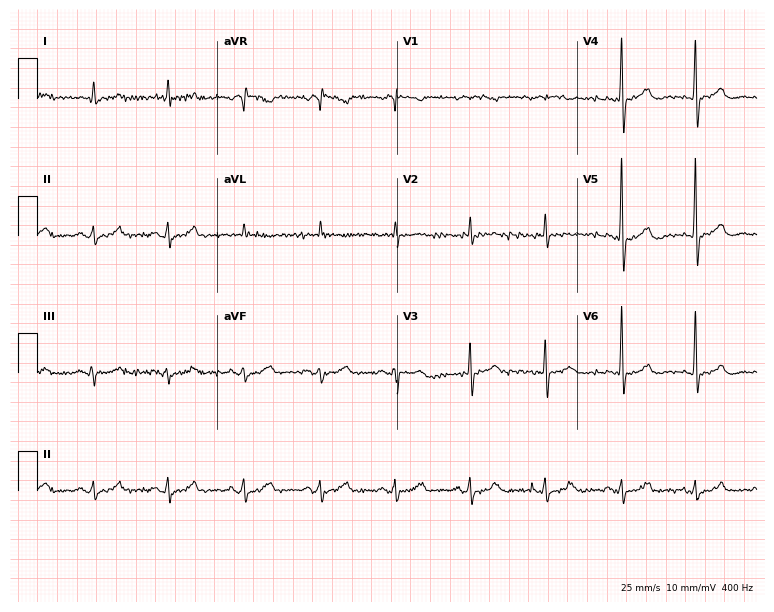
ECG (7.3-second recording at 400 Hz) — an 82-year-old male. Labelled as a normal ECG.